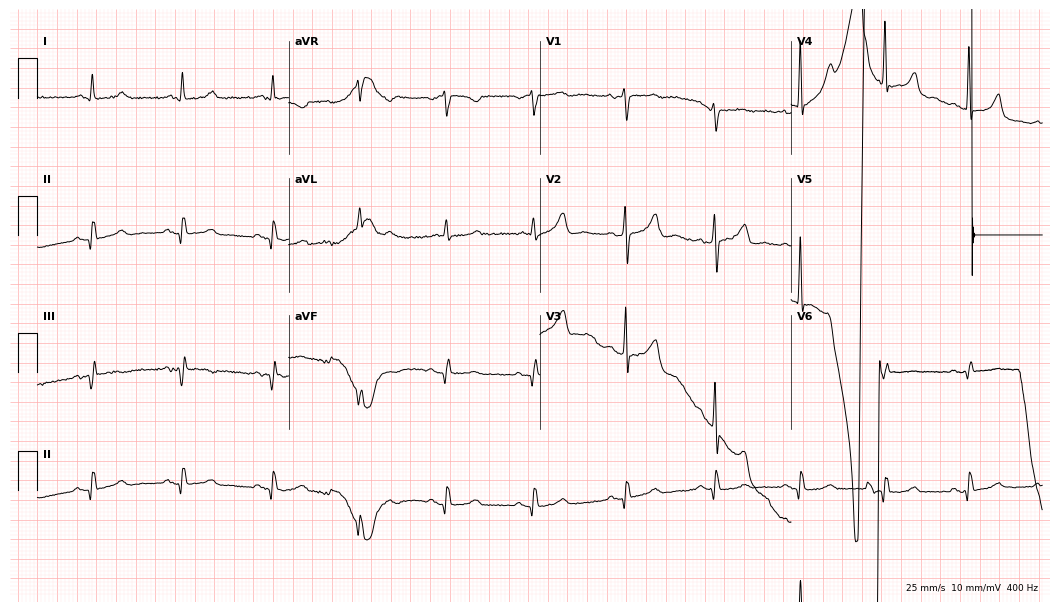
Electrocardiogram (10.2-second recording at 400 Hz), a man, 67 years old. Of the six screened findings (first-degree AV block, right bundle branch block (RBBB), left bundle branch block (LBBB), sinus bradycardia, atrial fibrillation (AF), sinus tachycardia), none is recorded. Only these six findings were labelled.